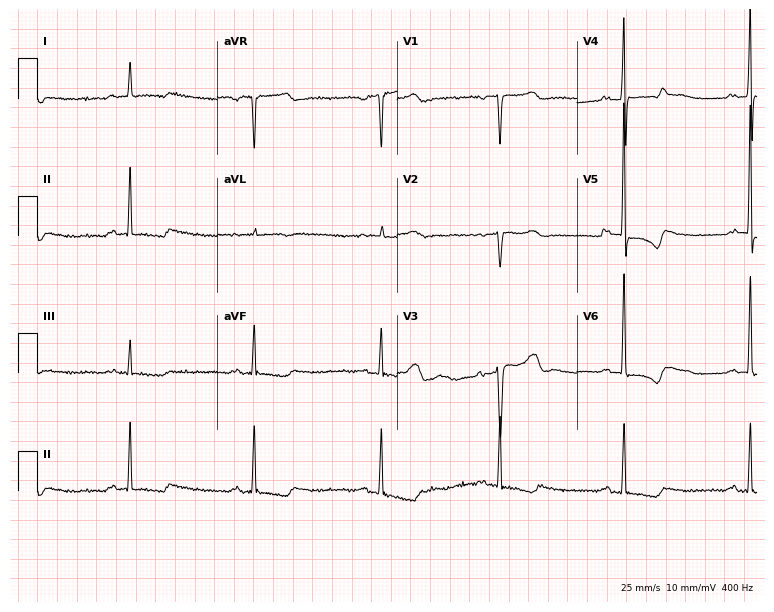
12-lead ECG from a female patient, 68 years old. Screened for six findings — first-degree AV block, right bundle branch block, left bundle branch block, sinus bradycardia, atrial fibrillation, sinus tachycardia — none is recorded.